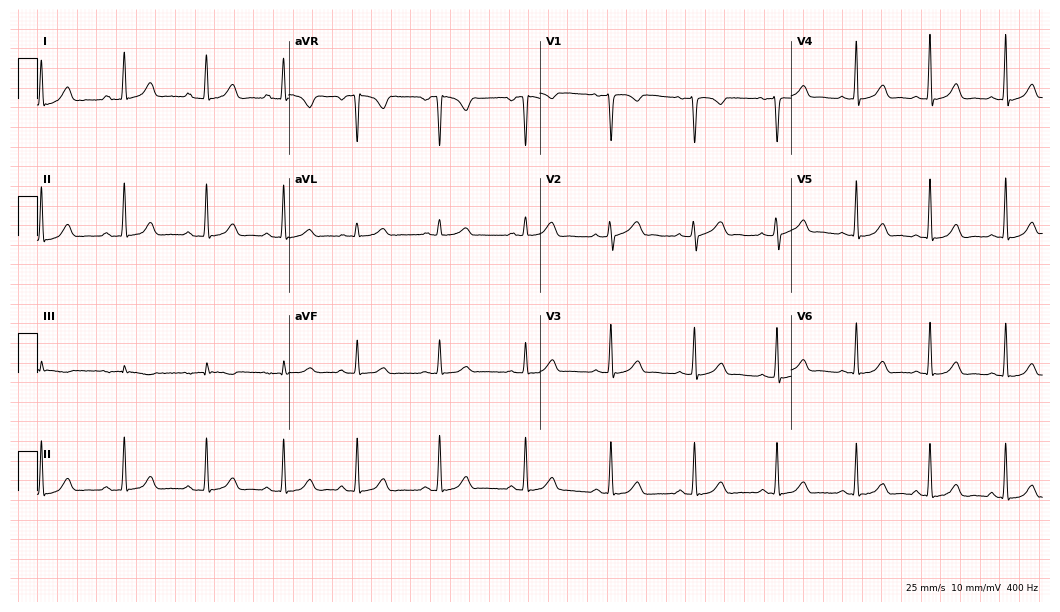
Resting 12-lead electrocardiogram (10.2-second recording at 400 Hz). Patient: a 41-year-old female. Read as a normal ECG.